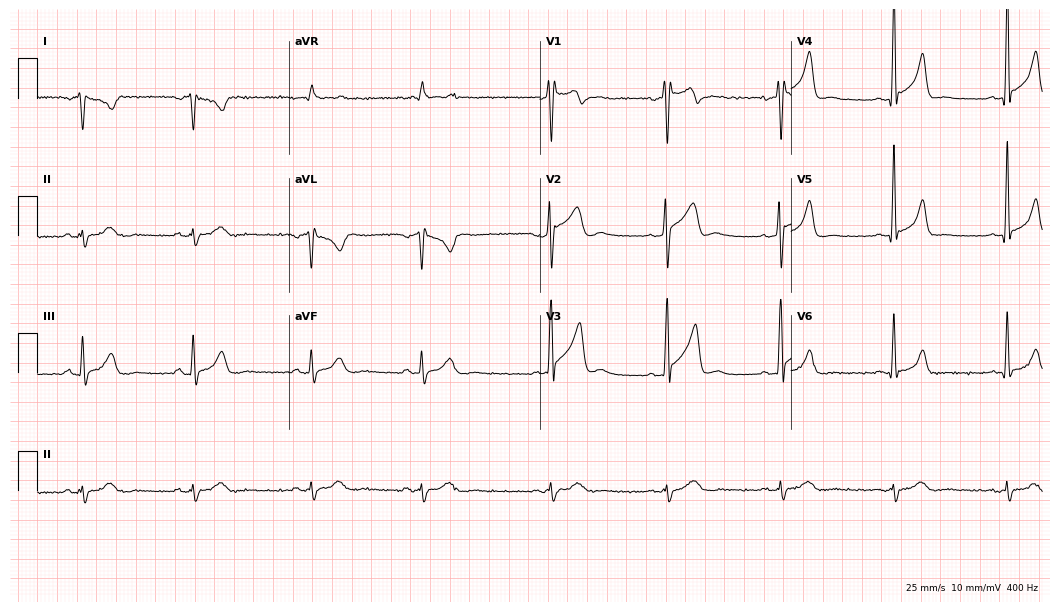
12-lead ECG from a 33-year-old male (10.2-second recording at 400 Hz). No first-degree AV block, right bundle branch block, left bundle branch block, sinus bradycardia, atrial fibrillation or sinus tachycardia recorded for this tracing. Other findings, if any, are not listed.